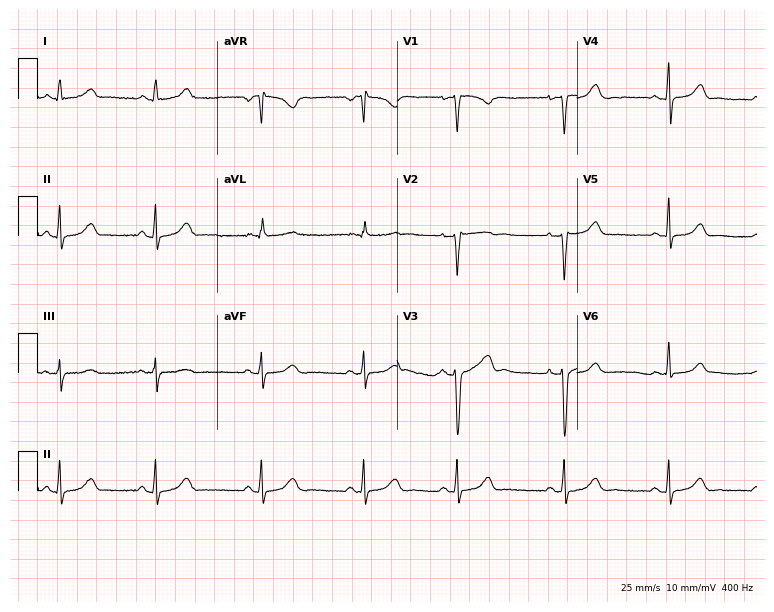
12-lead ECG (7.3-second recording at 400 Hz) from a 33-year-old woman. Screened for six findings — first-degree AV block, right bundle branch block (RBBB), left bundle branch block (LBBB), sinus bradycardia, atrial fibrillation (AF), sinus tachycardia — none is recorded. Only these six findings were labelled.